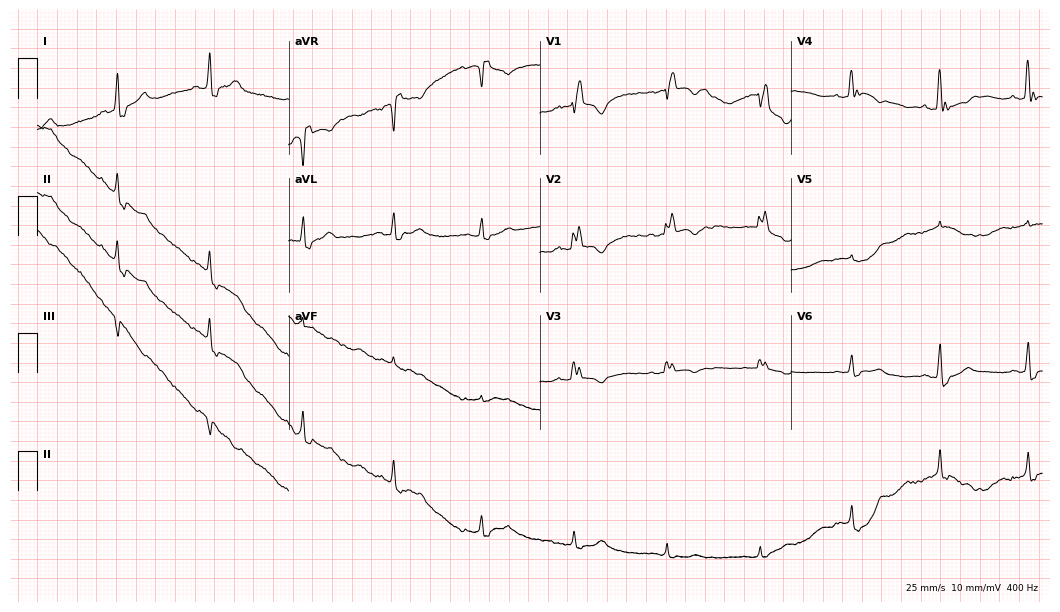
12-lead ECG from a woman, 75 years old (10.2-second recording at 400 Hz). No first-degree AV block, right bundle branch block, left bundle branch block, sinus bradycardia, atrial fibrillation or sinus tachycardia recorded for this tracing. Only these six findings were labelled.